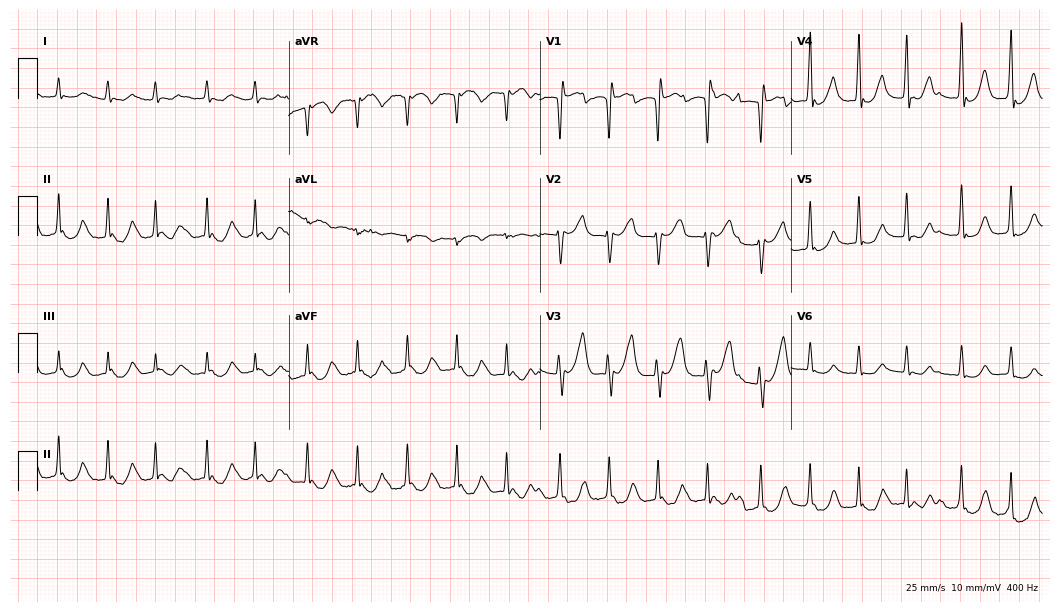
ECG (10.2-second recording at 400 Hz) — a male, 79 years old. Findings include sinus tachycardia (a sinus rate of 100 beats per minute or more).